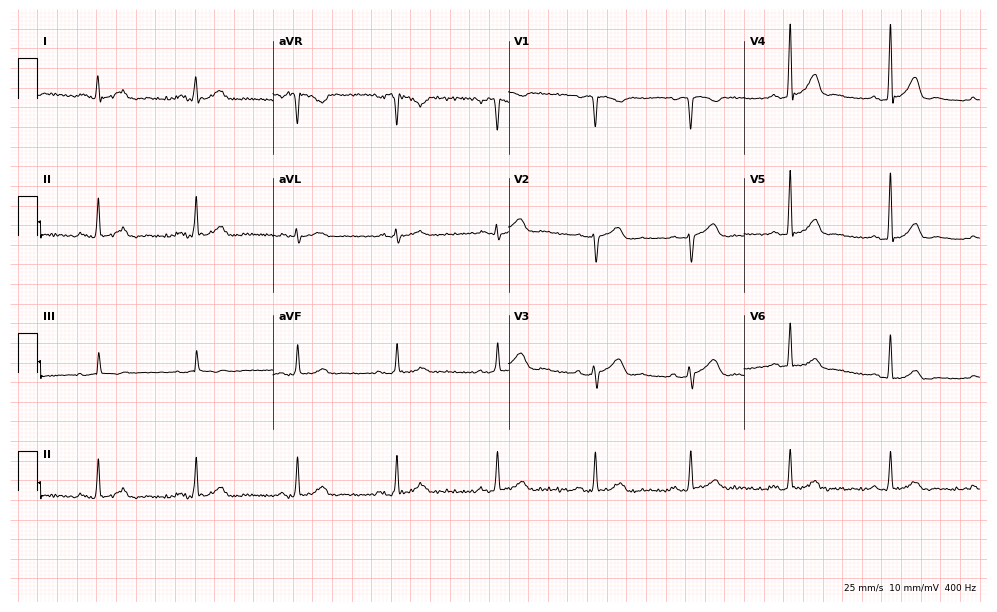
Resting 12-lead electrocardiogram. Patient: a 48-year-old man. Read as a normal ECG.